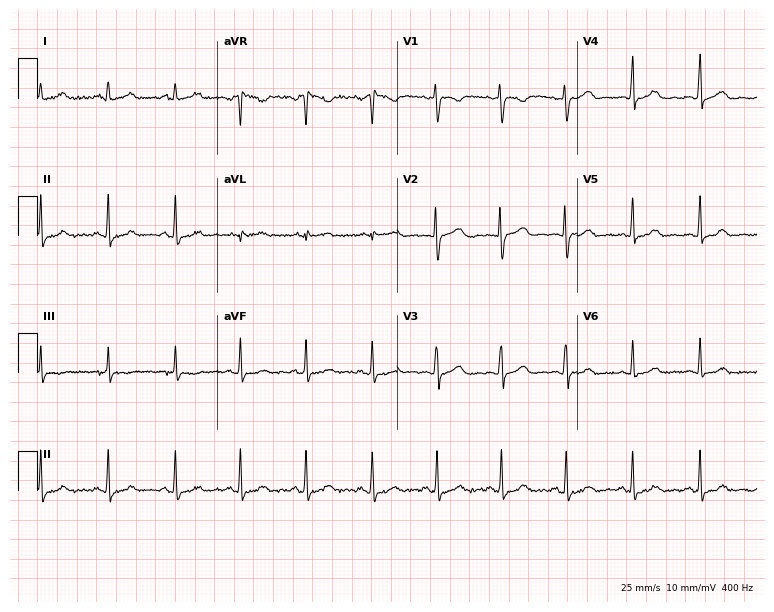
Standard 12-lead ECG recorded from a 29-year-old woman. Read as a normal ECG.